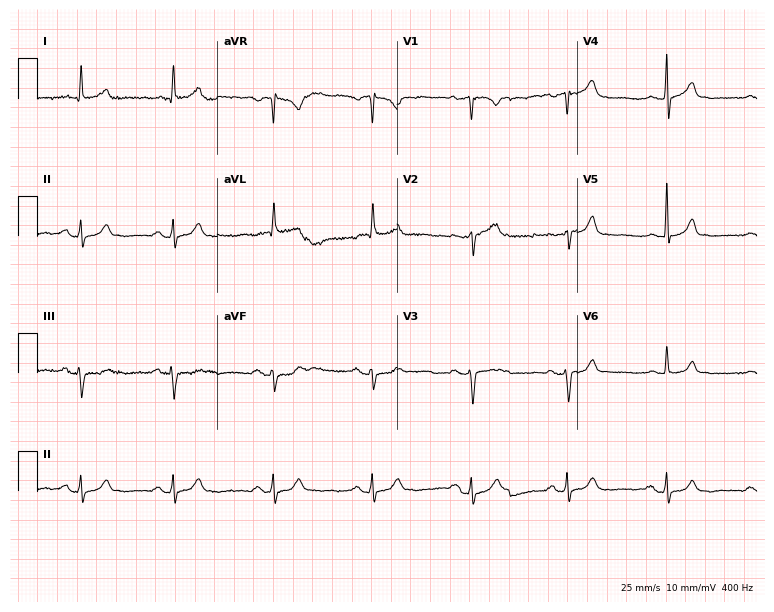
12-lead ECG from a female, 77 years old. Recorded interpretation: within normal limits.